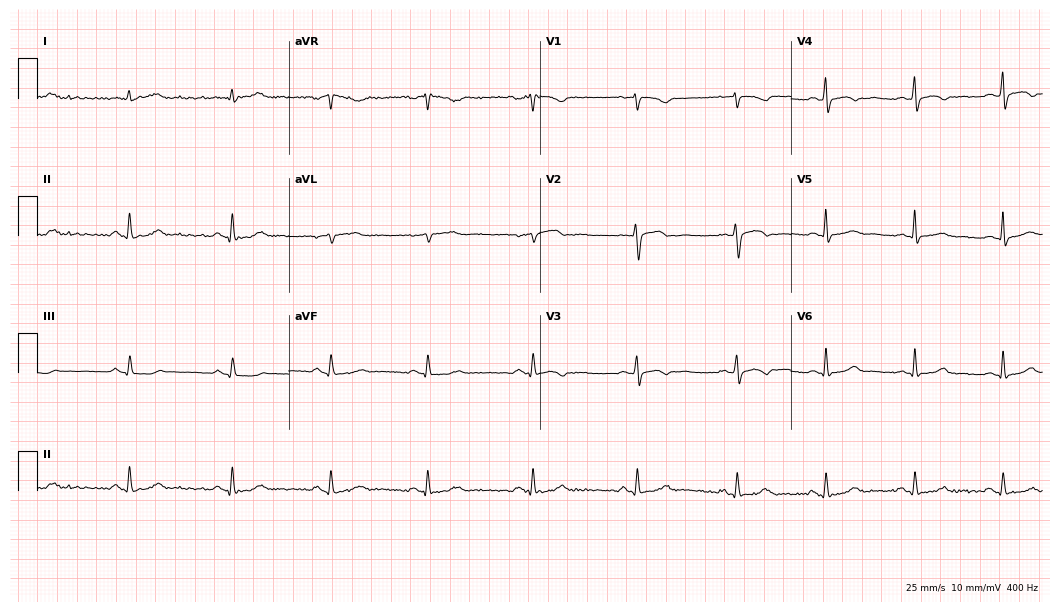
12-lead ECG (10.2-second recording at 400 Hz) from a 44-year-old female. Screened for six findings — first-degree AV block, right bundle branch block, left bundle branch block, sinus bradycardia, atrial fibrillation, sinus tachycardia — none is recorded.